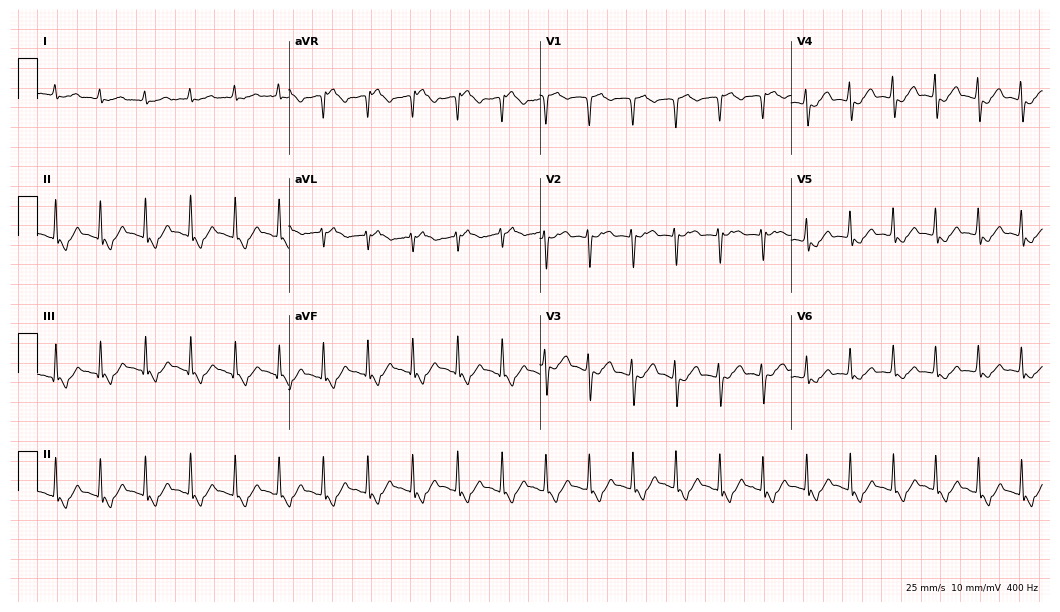
Standard 12-lead ECG recorded from a 41-year-old woman (10.2-second recording at 400 Hz). The tracing shows sinus tachycardia (a sinus rate of 100 beats per minute or more).